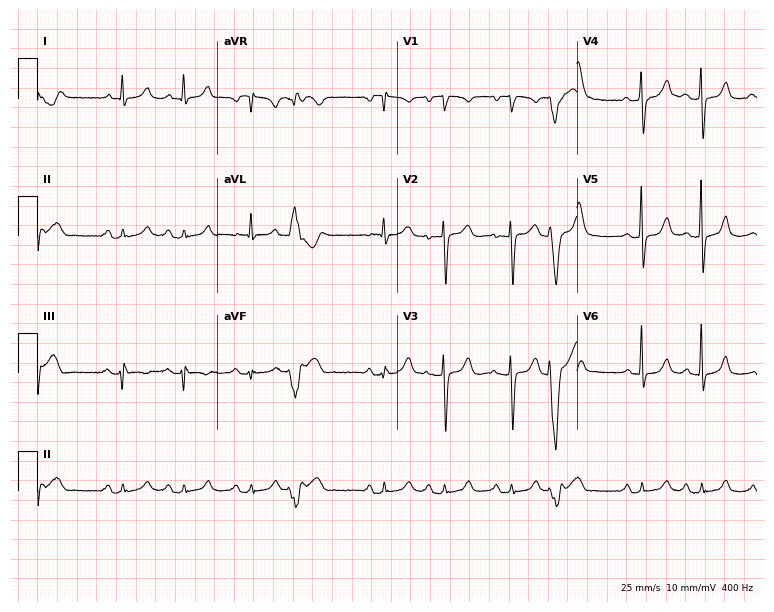
Electrocardiogram (7.3-second recording at 400 Hz), a female, 81 years old. Of the six screened findings (first-degree AV block, right bundle branch block (RBBB), left bundle branch block (LBBB), sinus bradycardia, atrial fibrillation (AF), sinus tachycardia), none is recorded. Other findings, if any, are not listed.